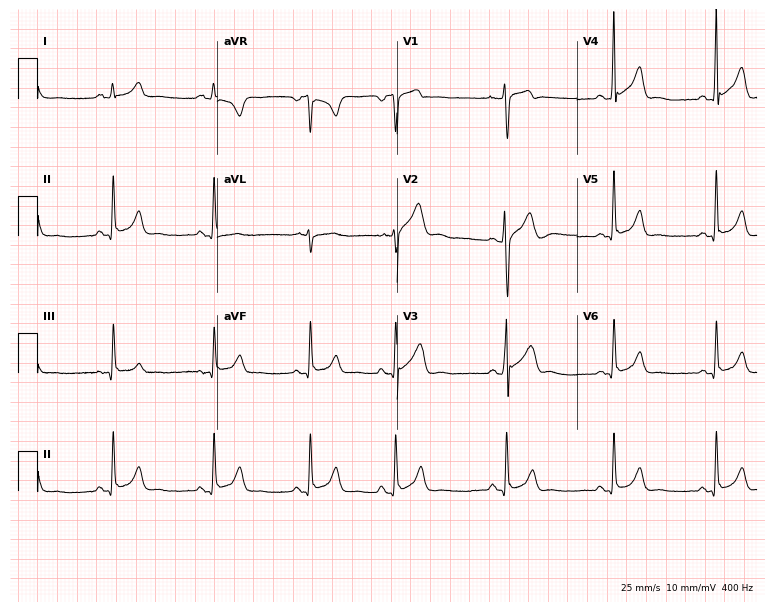
12-lead ECG from a 27-year-old man. Labelled as a normal ECG.